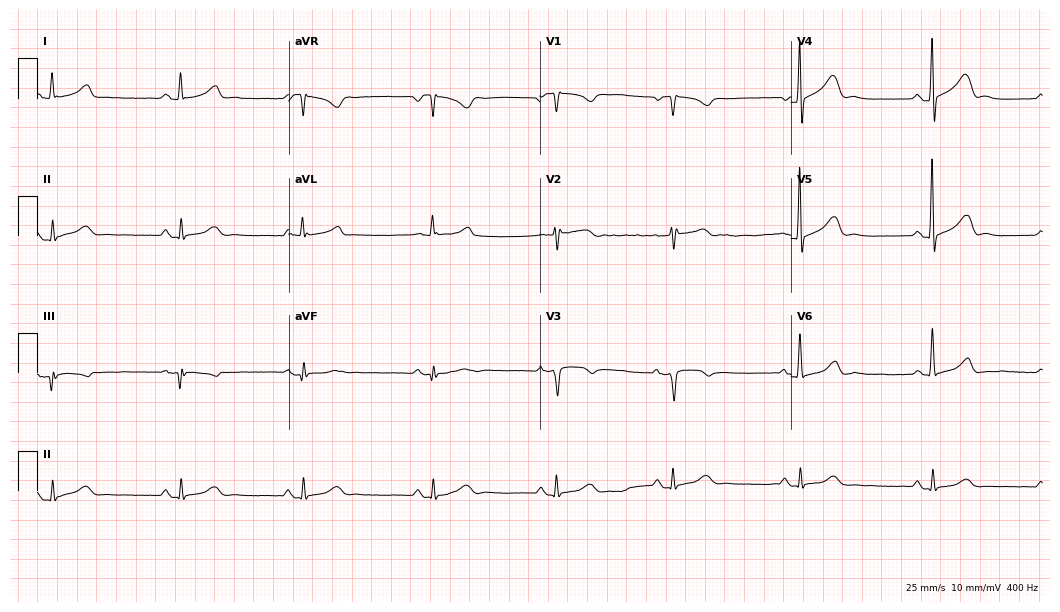
Resting 12-lead electrocardiogram (10.2-second recording at 400 Hz). Patient: a 54-year-old female. None of these six findings is recorded: first-degree AV block, right bundle branch block, left bundle branch block, sinus bradycardia, atrial fibrillation, sinus tachycardia.